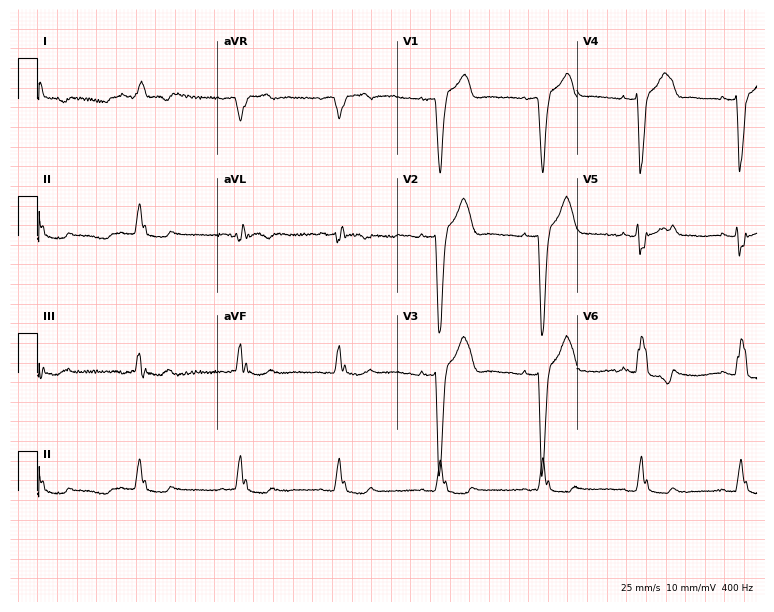
12-lead ECG from a male patient, 84 years old. Findings include left bundle branch block.